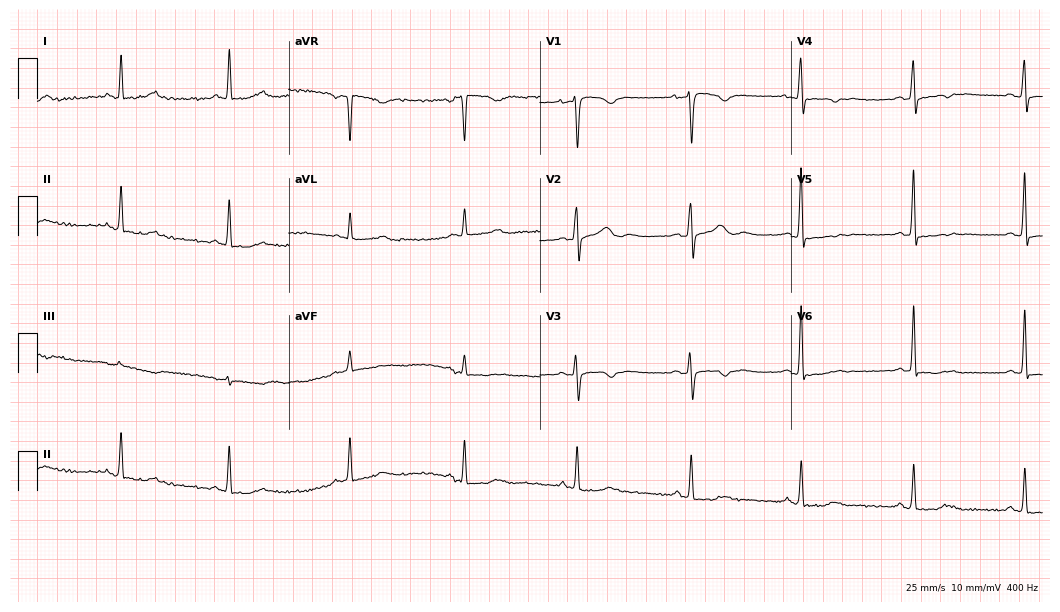
Standard 12-lead ECG recorded from a 62-year-old female patient. None of these six findings is recorded: first-degree AV block, right bundle branch block, left bundle branch block, sinus bradycardia, atrial fibrillation, sinus tachycardia.